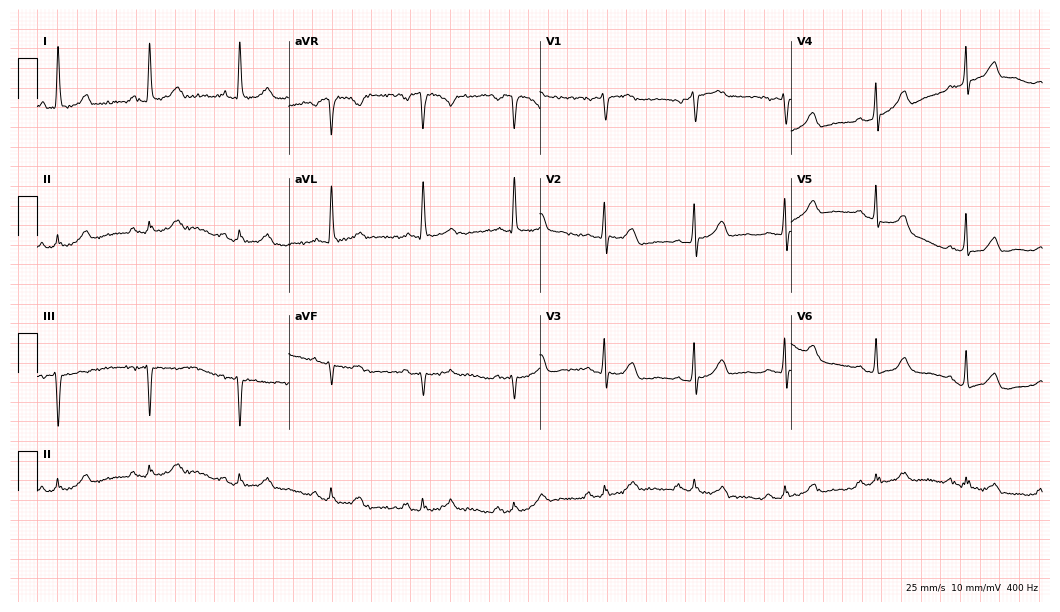
Electrocardiogram, a female, 64 years old. Of the six screened findings (first-degree AV block, right bundle branch block, left bundle branch block, sinus bradycardia, atrial fibrillation, sinus tachycardia), none is recorded.